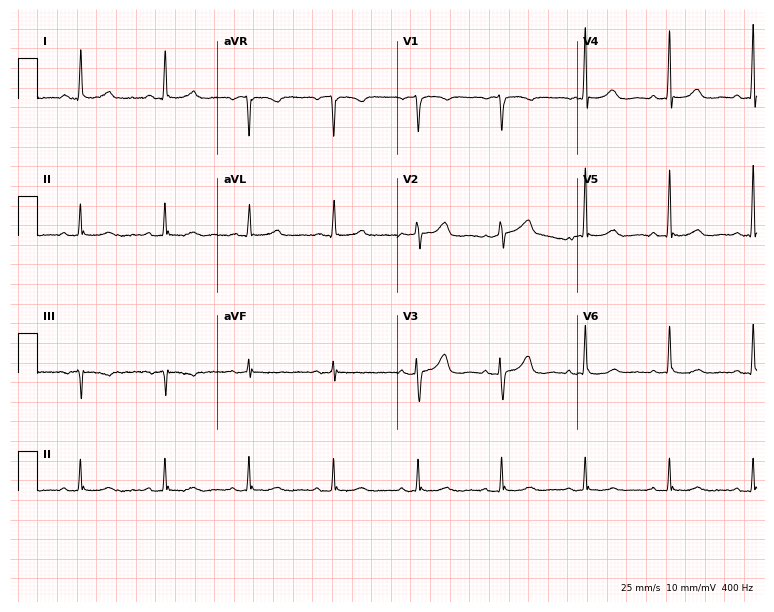
ECG — a 77-year-old woman. Labelled as a normal ECG.